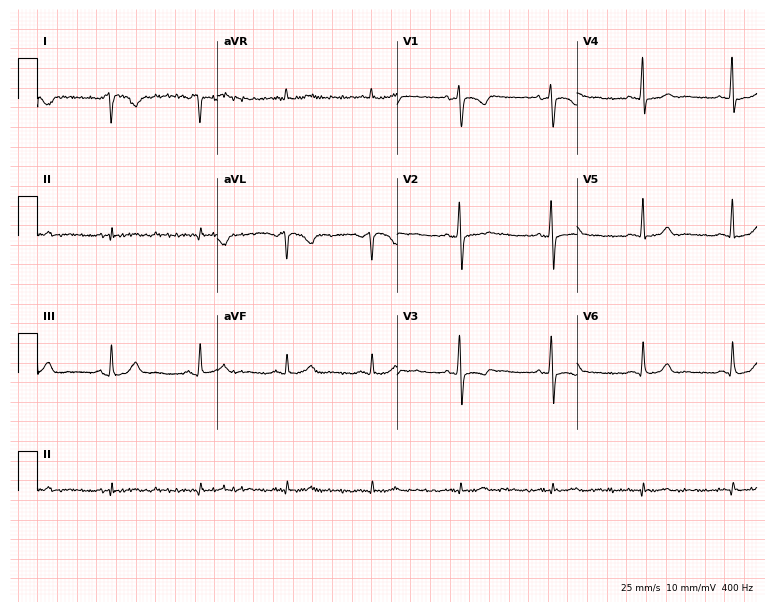
Resting 12-lead electrocardiogram (7.3-second recording at 400 Hz). Patient: a 23-year-old female. None of these six findings is recorded: first-degree AV block, right bundle branch block, left bundle branch block, sinus bradycardia, atrial fibrillation, sinus tachycardia. Only these six findings were labelled.